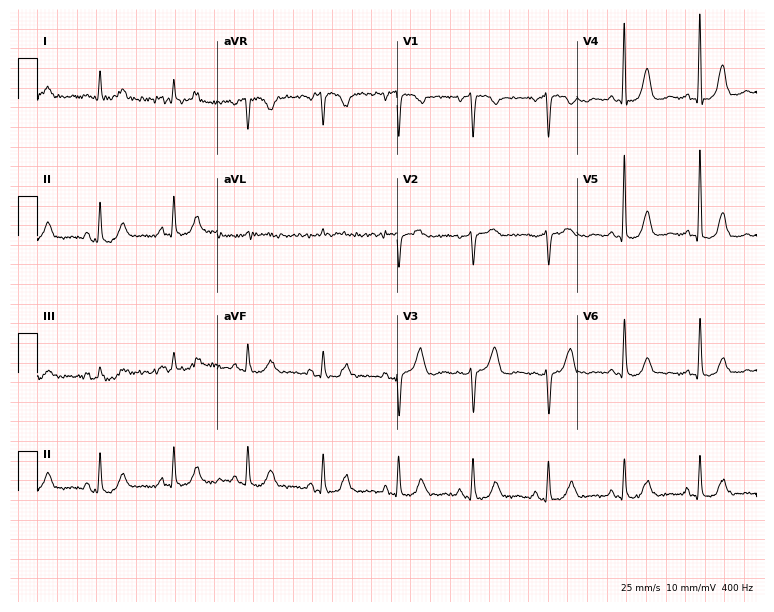
Standard 12-lead ECG recorded from a woman, 68 years old (7.3-second recording at 400 Hz). None of these six findings is recorded: first-degree AV block, right bundle branch block, left bundle branch block, sinus bradycardia, atrial fibrillation, sinus tachycardia.